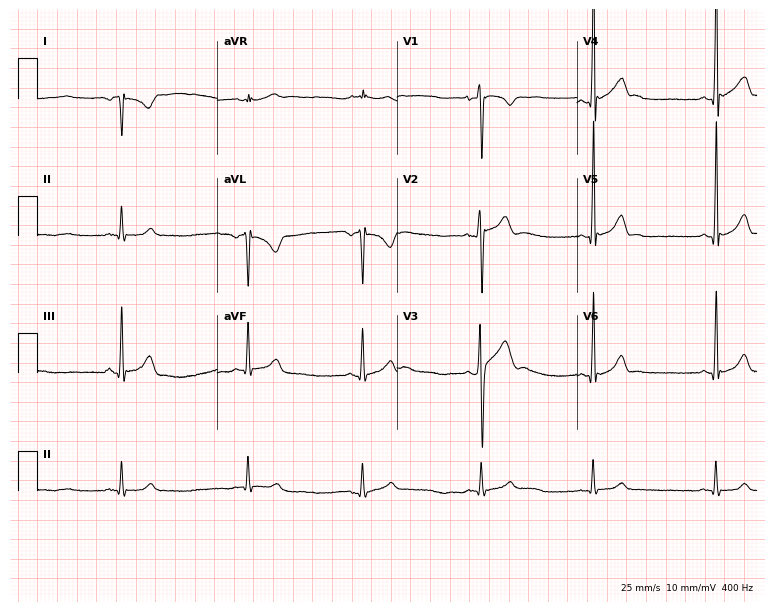
Resting 12-lead electrocardiogram (7.3-second recording at 400 Hz). Patient: an 18-year-old male. None of these six findings is recorded: first-degree AV block, right bundle branch block, left bundle branch block, sinus bradycardia, atrial fibrillation, sinus tachycardia. Only these six findings were labelled.